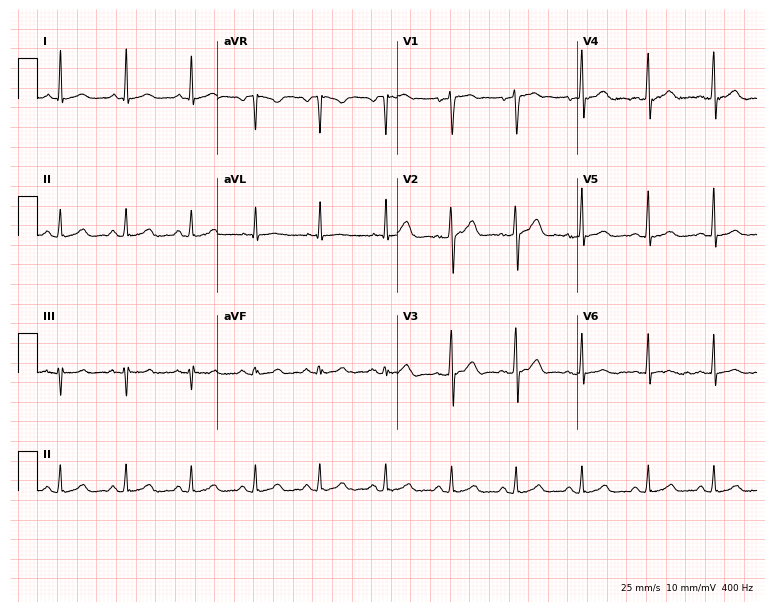
Standard 12-lead ECG recorded from a 50-year-old man. None of these six findings is recorded: first-degree AV block, right bundle branch block, left bundle branch block, sinus bradycardia, atrial fibrillation, sinus tachycardia.